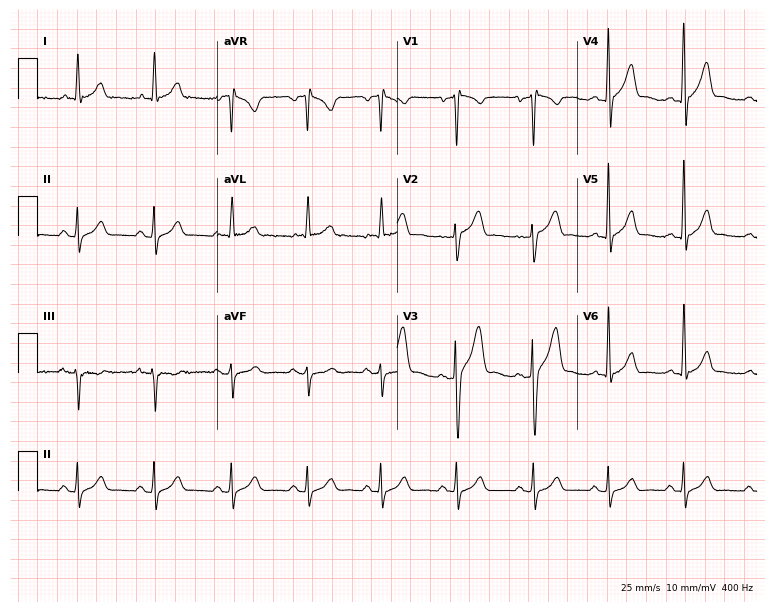
12-lead ECG from a male, 40 years old. Recorded interpretation: within normal limits.